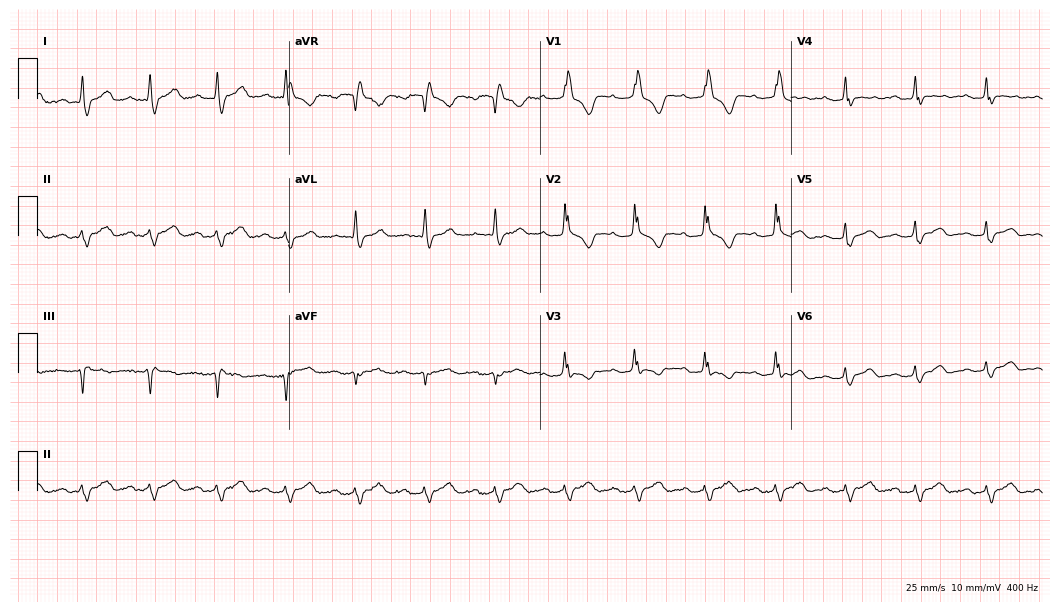
12-lead ECG (10.2-second recording at 400 Hz) from a female patient, 28 years old. Findings include first-degree AV block, right bundle branch block.